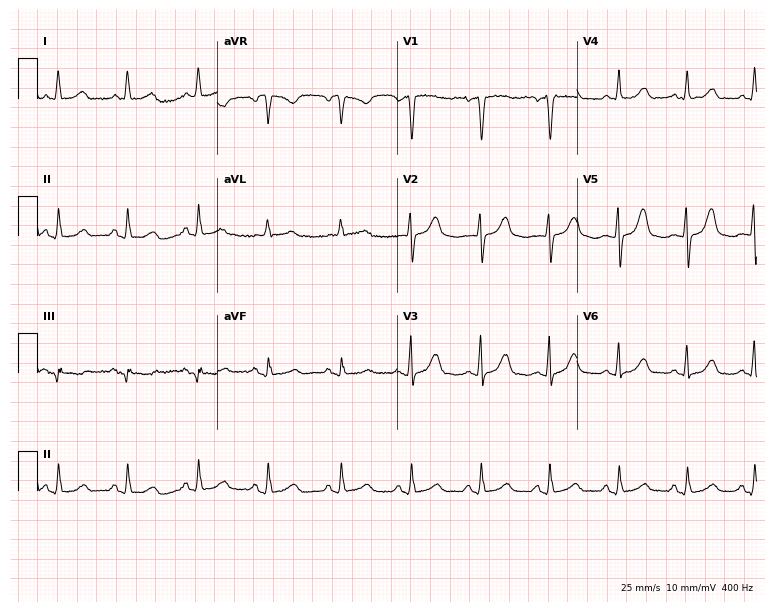
Electrocardiogram, a female patient, 77 years old. Overall reading on record: normal ECG.